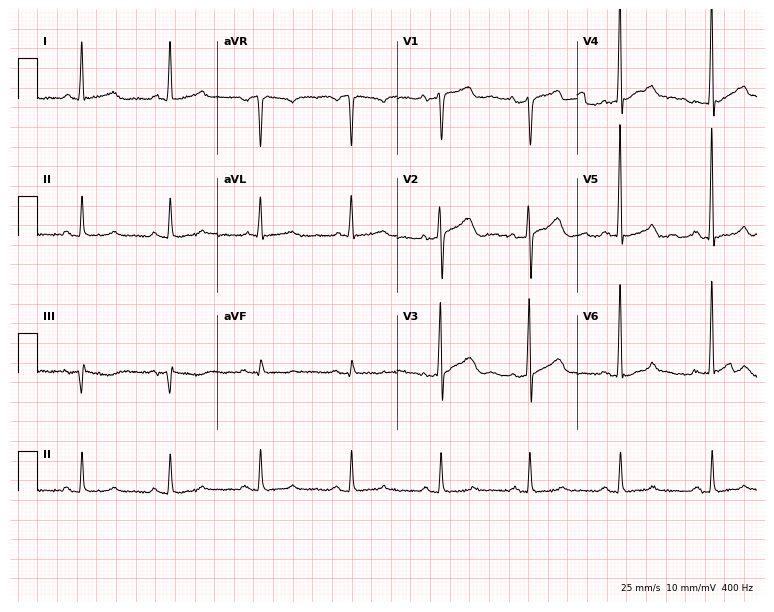
12-lead ECG from a 64-year-old male (7.3-second recording at 400 Hz). No first-degree AV block, right bundle branch block, left bundle branch block, sinus bradycardia, atrial fibrillation or sinus tachycardia recorded for this tracing. Other findings, if any, are not listed.